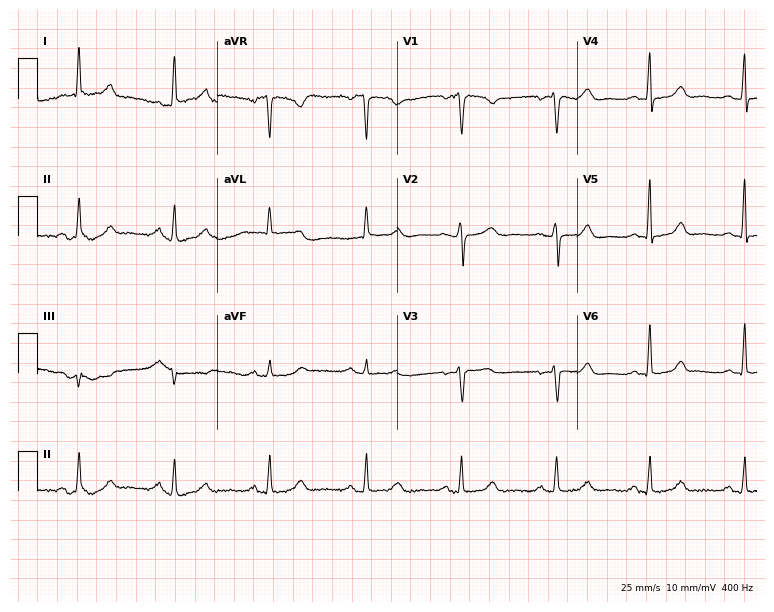
12-lead ECG from a female, 68 years old. Screened for six findings — first-degree AV block, right bundle branch block, left bundle branch block, sinus bradycardia, atrial fibrillation, sinus tachycardia — none is recorded.